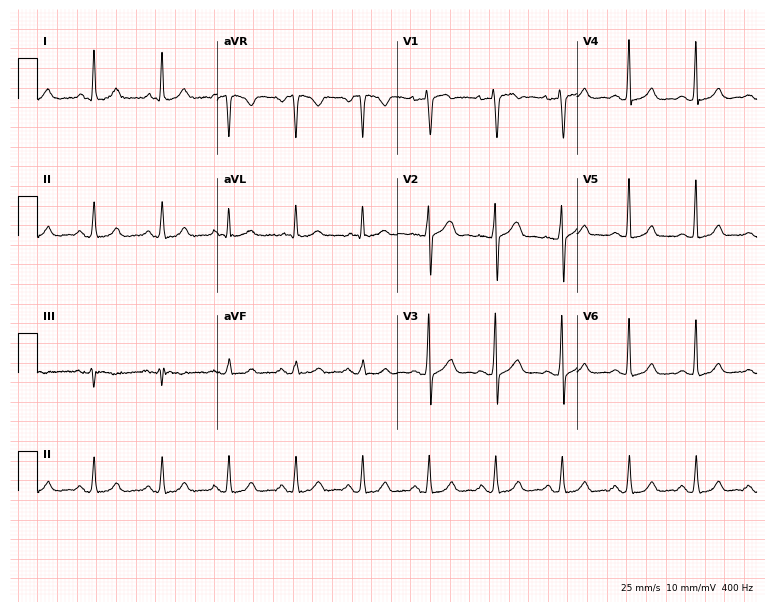
Standard 12-lead ECG recorded from a male patient, 51 years old (7.3-second recording at 400 Hz). Read as a normal ECG.